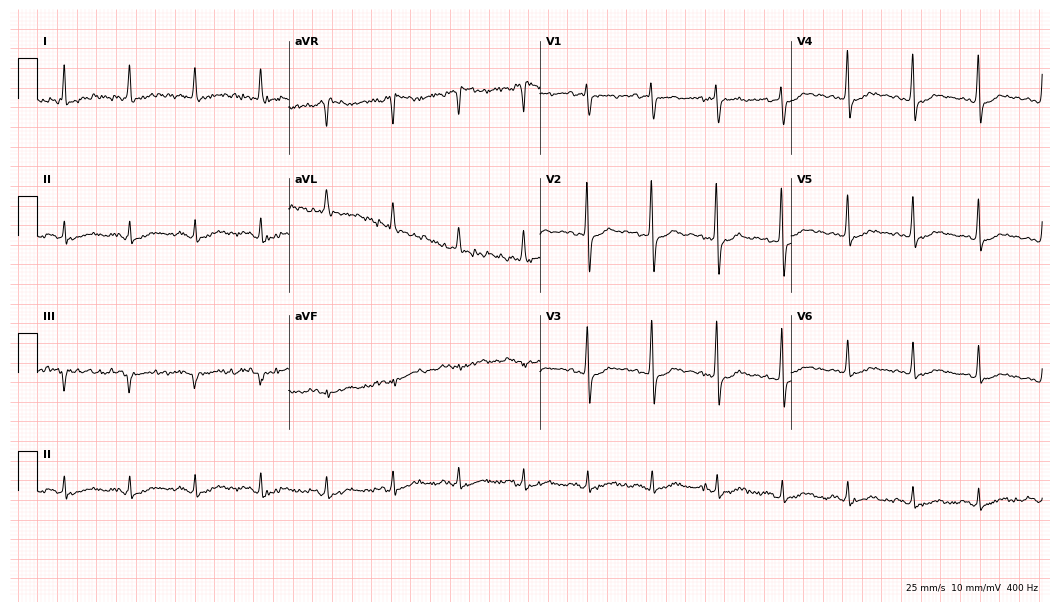
12-lead ECG from a 75-year-old woman (10.2-second recording at 400 Hz). No first-degree AV block, right bundle branch block (RBBB), left bundle branch block (LBBB), sinus bradycardia, atrial fibrillation (AF) or sinus tachycardia recorded for this tracing. Findings outside these six are not listed.